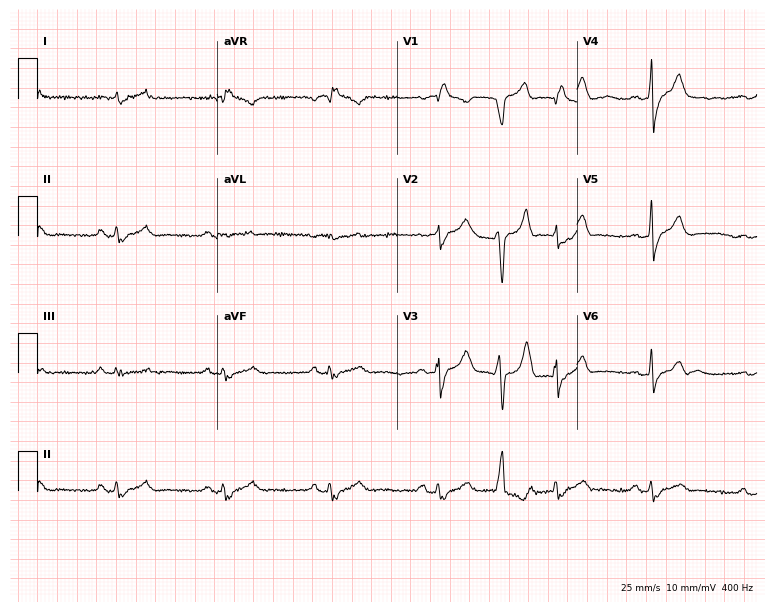
Resting 12-lead electrocardiogram. Patient: a man, 74 years old. None of these six findings is recorded: first-degree AV block, right bundle branch block, left bundle branch block, sinus bradycardia, atrial fibrillation, sinus tachycardia. Only these six findings were labelled.